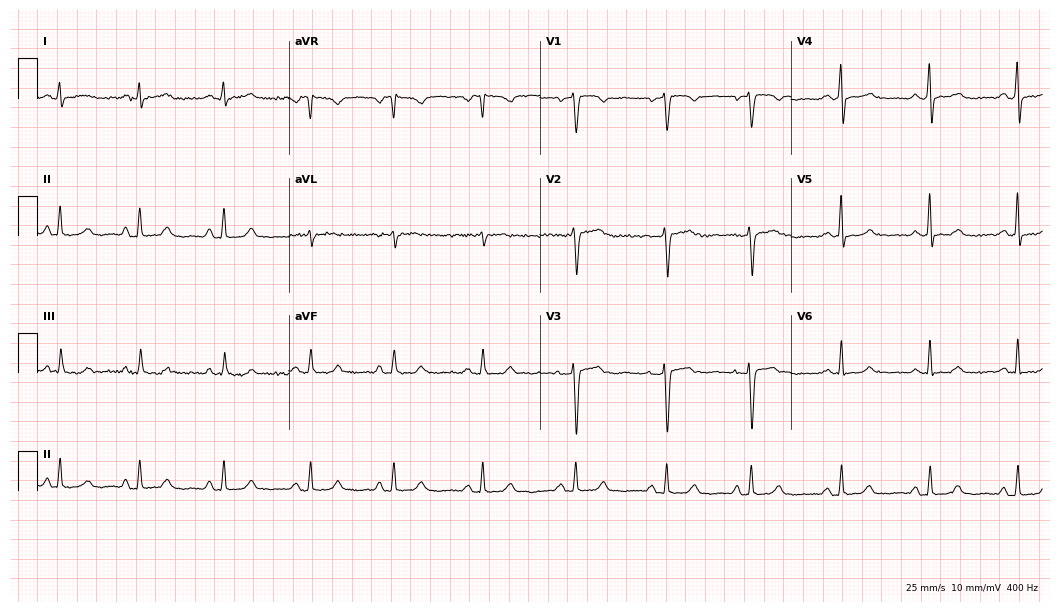
12-lead ECG from a 49-year-old female (10.2-second recording at 400 Hz). No first-degree AV block, right bundle branch block (RBBB), left bundle branch block (LBBB), sinus bradycardia, atrial fibrillation (AF) or sinus tachycardia recorded for this tracing. Other findings, if any, are not listed.